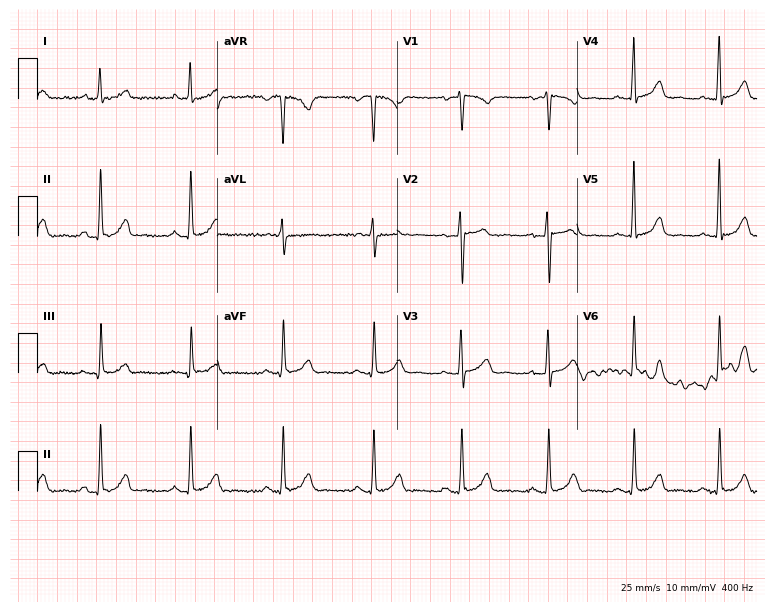
12-lead ECG (7.3-second recording at 400 Hz) from a woman, 41 years old. Labelled as a normal ECG.